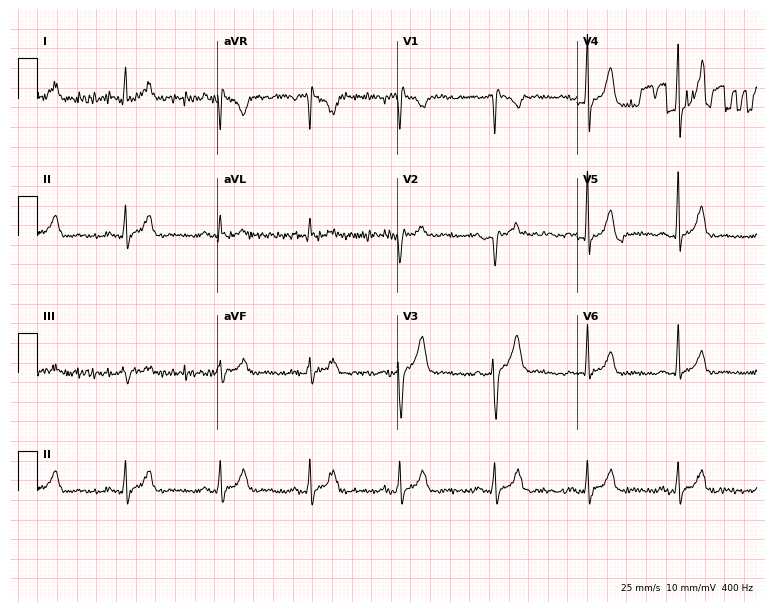
Resting 12-lead electrocardiogram (7.3-second recording at 400 Hz). Patient: a man, 33 years old. None of these six findings is recorded: first-degree AV block, right bundle branch block (RBBB), left bundle branch block (LBBB), sinus bradycardia, atrial fibrillation (AF), sinus tachycardia. Other findings, if any, are not listed.